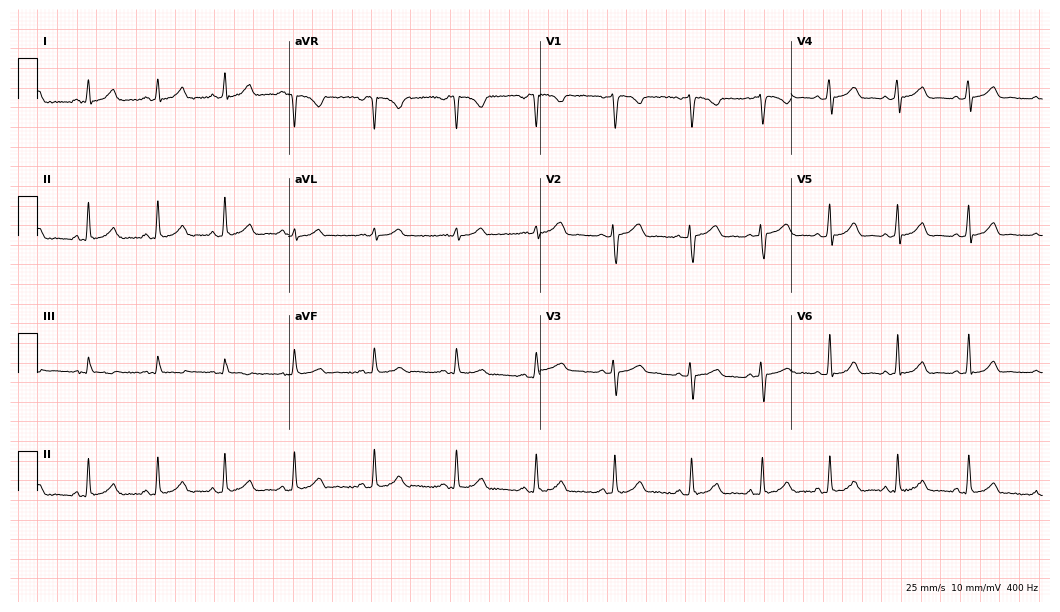
ECG (10.2-second recording at 400 Hz) — a 33-year-old female patient. Labelled as a normal ECG.